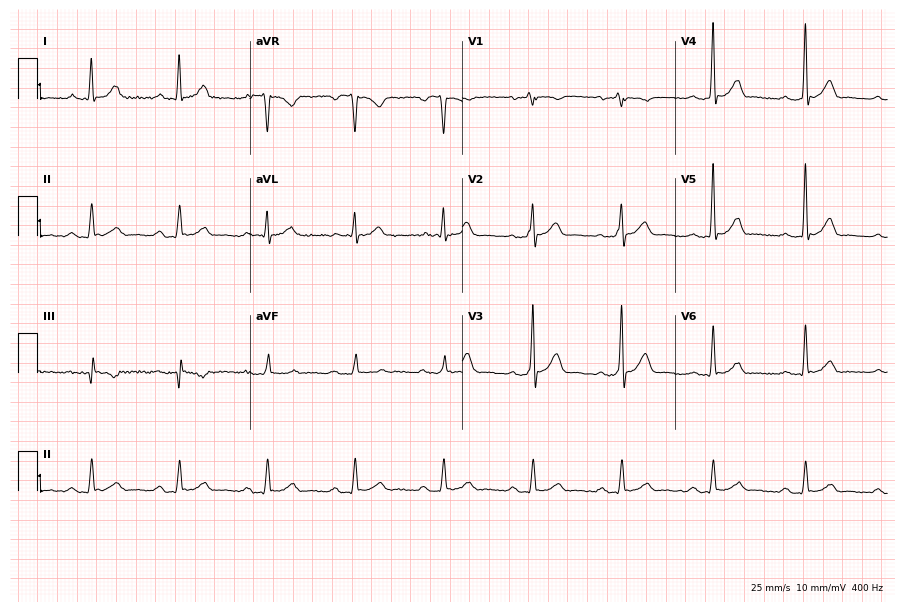
Standard 12-lead ECG recorded from a male patient, 46 years old (8.7-second recording at 400 Hz). Read as a normal ECG.